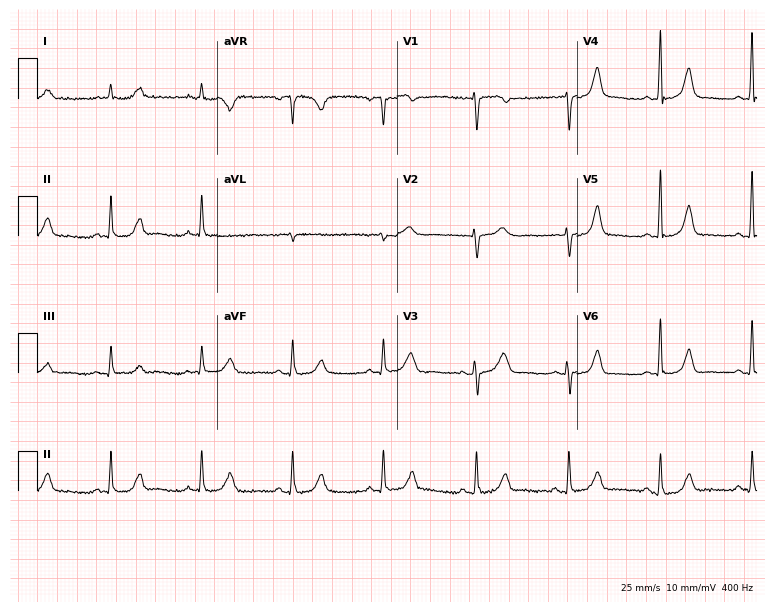
12-lead ECG from a 49-year-old woman. Recorded interpretation: within normal limits.